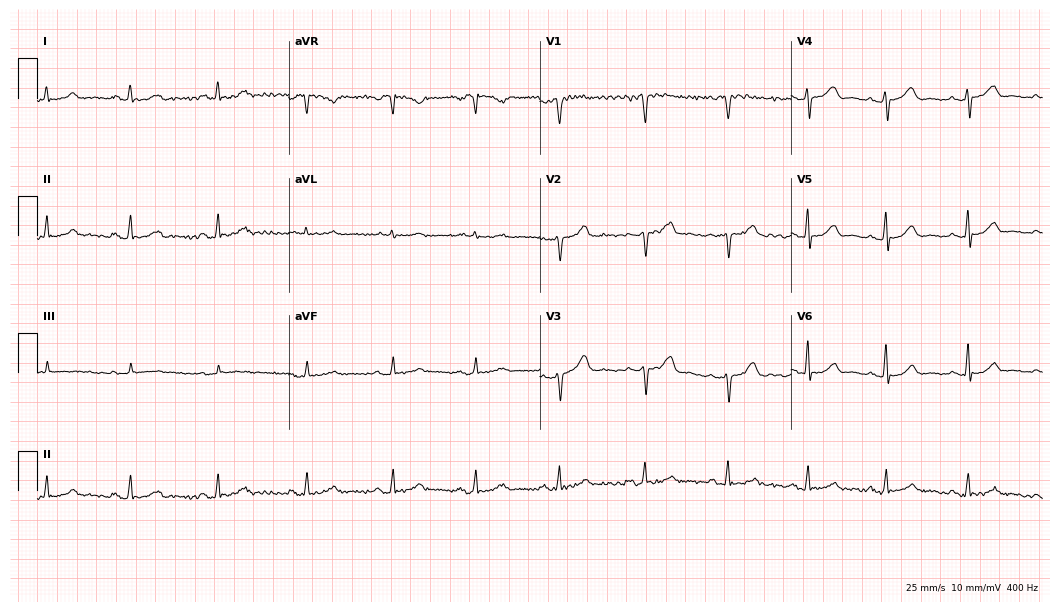
Resting 12-lead electrocardiogram. Patient: a female, 51 years old. Read as a normal ECG.